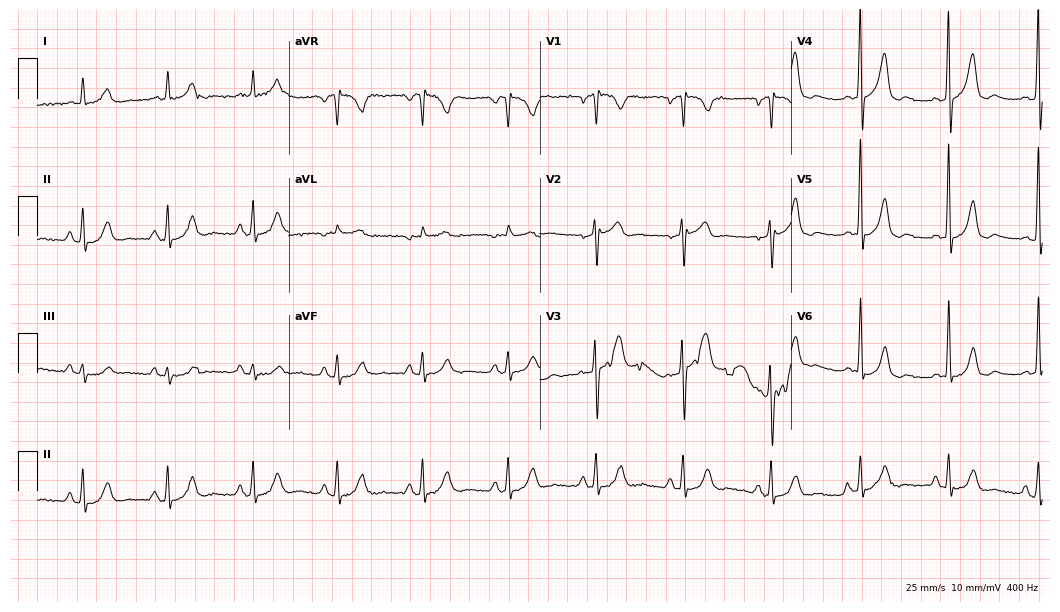
Resting 12-lead electrocardiogram. Patient: a male, 66 years old. Read as a normal ECG.